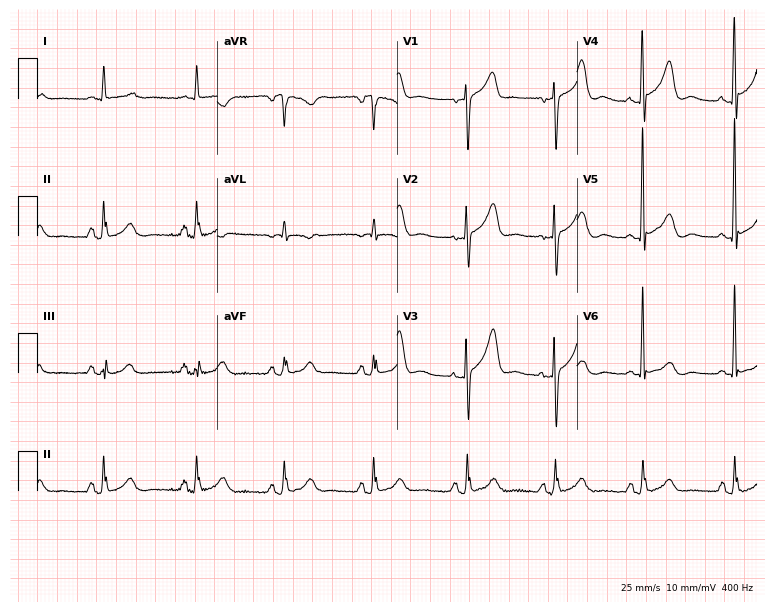
Resting 12-lead electrocardiogram (7.3-second recording at 400 Hz). Patient: a woman, 80 years old. None of these six findings is recorded: first-degree AV block, right bundle branch block, left bundle branch block, sinus bradycardia, atrial fibrillation, sinus tachycardia.